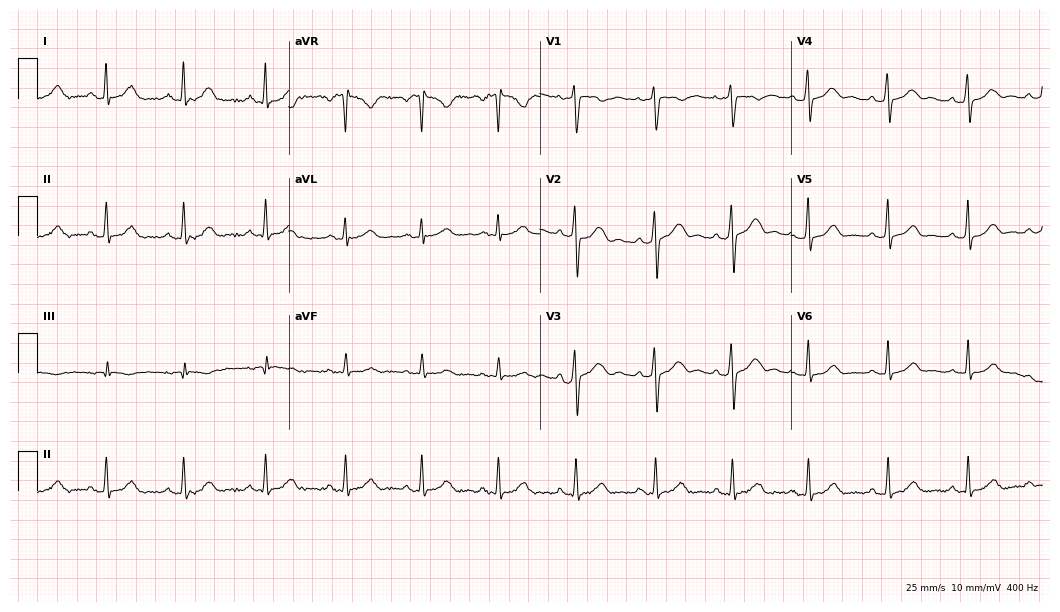
12-lead ECG from a 34-year-old female patient (10.2-second recording at 400 Hz). Recorded interpretation: within normal limits.